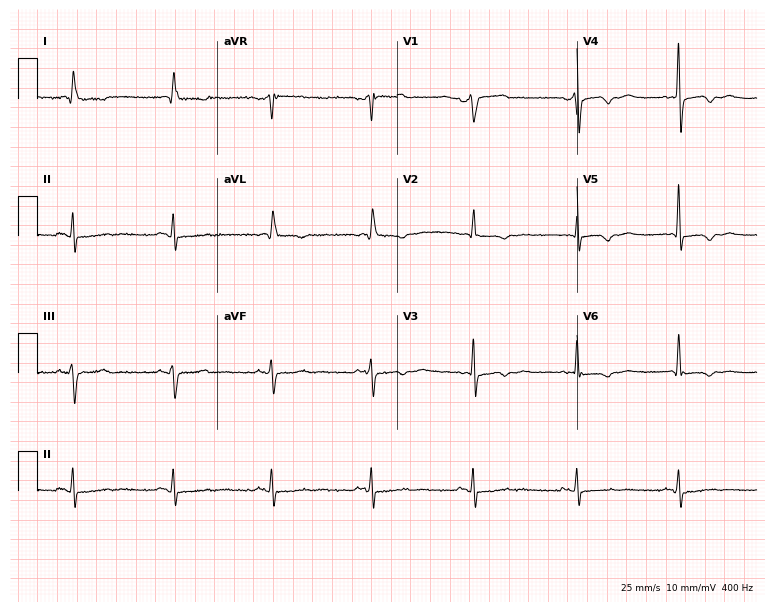
12-lead ECG (7.3-second recording at 400 Hz) from an 81-year-old male patient. Screened for six findings — first-degree AV block, right bundle branch block, left bundle branch block, sinus bradycardia, atrial fibrillation, sinus tachycardia — none is recorded.